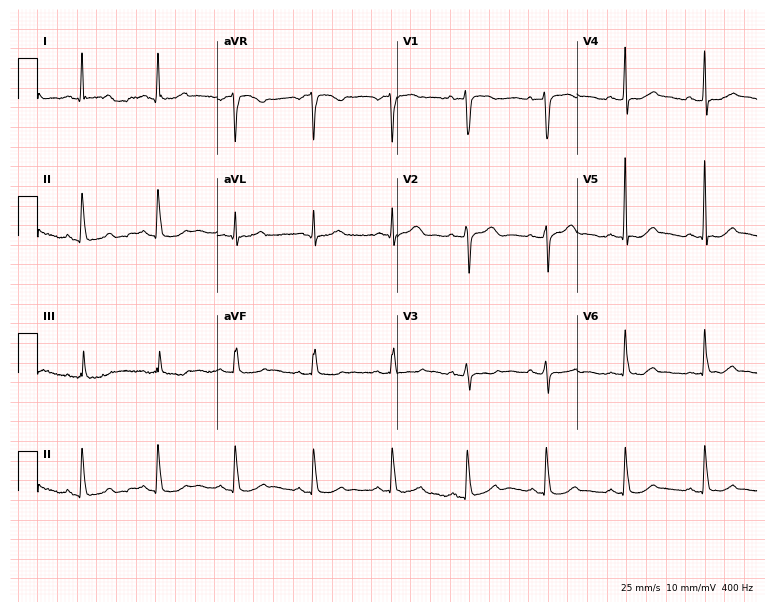
12-lead ECG from a woman, 57 years old (7.3-second recording at 400 Hz). Recorded interpretation: within normal limits.